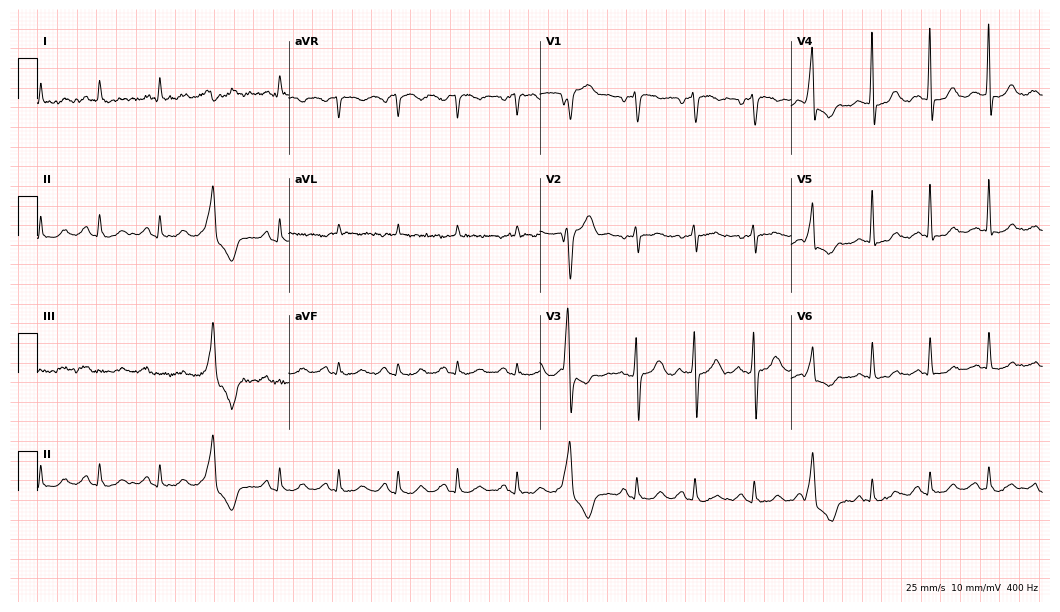
Resting 12-lead electrocardiogram. Patient: a male, 82 years old. None of these six findings is recorded: first-degree AV block, right bundle branch block (RBBB), left bundle branch block (LBBB), sinus bradycardia, atrial fibrillation (AF), sinus tachycardia. Findings outside these six are not listed.